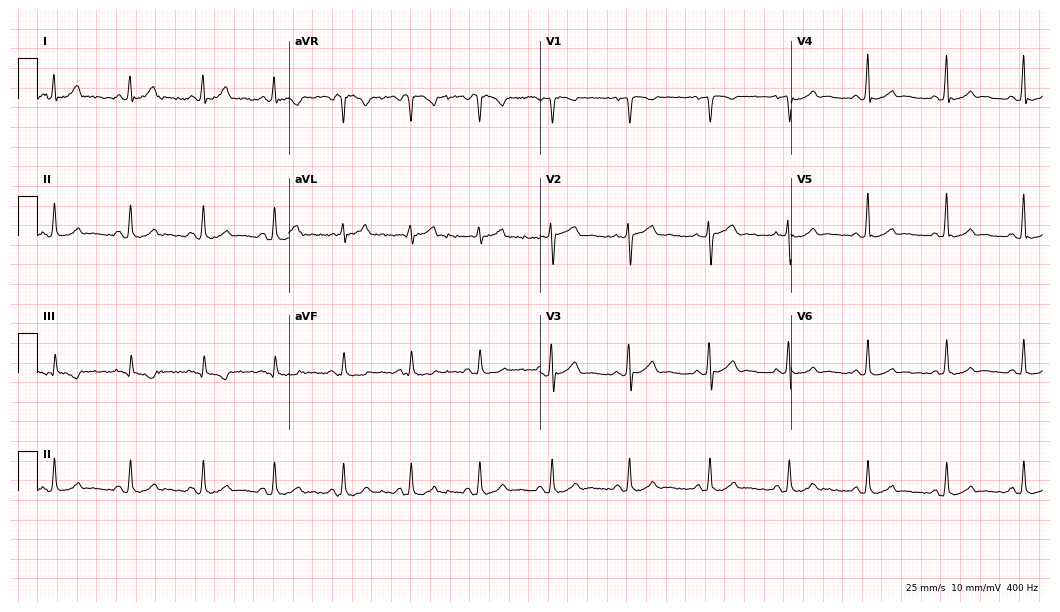
ECG — a 40-year-old female. Labelled as a normal ECG.